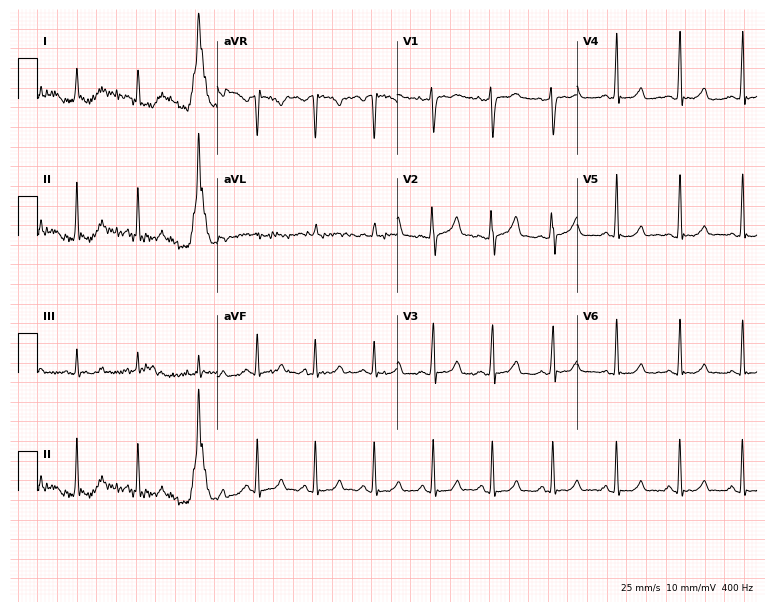
12-lead ECG from a 34-year-old female. Recorded interpretation: within normal limits.